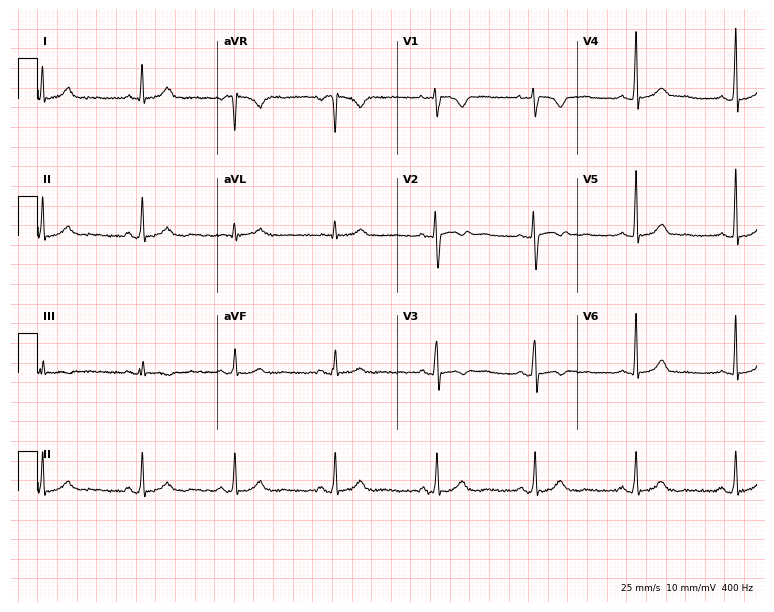
12-lead ECG (7.3-second recording at 400 Hz) from a female, 38 years old. Screened for six findings — first-degree AV block, right bundle branch block, left bundle branch block, sinus bradycardia, atrial fibrillation, sinus tachycardia — none is recorded.